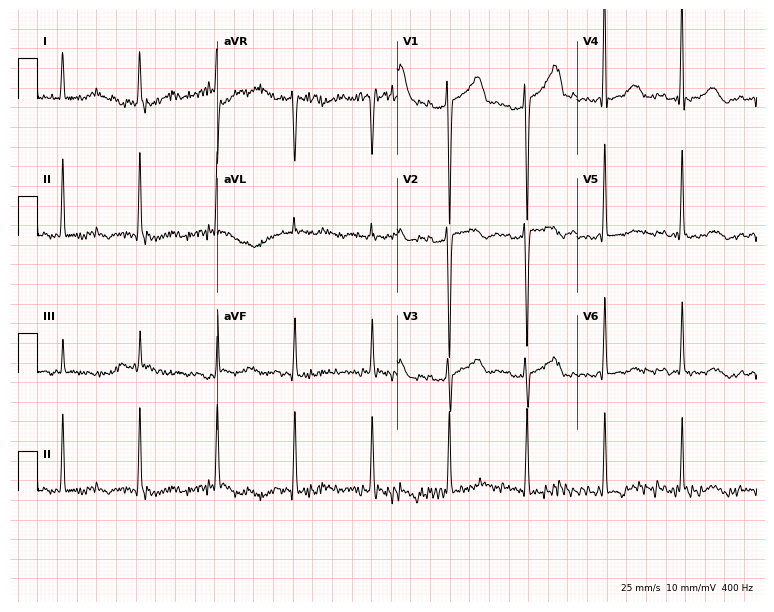
Standard 12-lead ECG recorded from a male, 84 years old. None of these six findings is recorded: first-degree AV block, right bundle branch block (RBBB), left bundle branch block (LBBB), sinus bradycardia, atrial fibrillation (AF), sinus tachycardia.